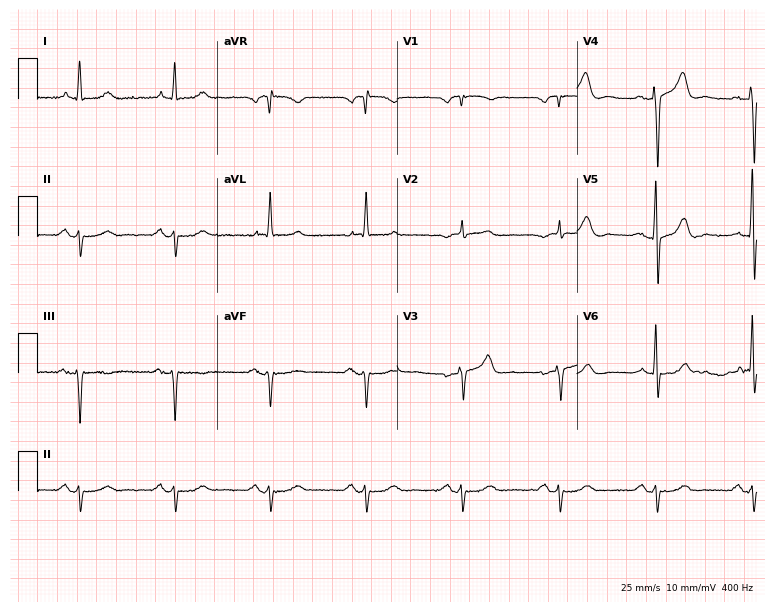
12-lead ECG from a male, 74 years old. No first-degree AV block, right bundle branch block, left bundle branch block, sinus bradycardia, atrial fibrillation or sinus tachycardia recorded for this tracing. Findings outside these six are not listed.